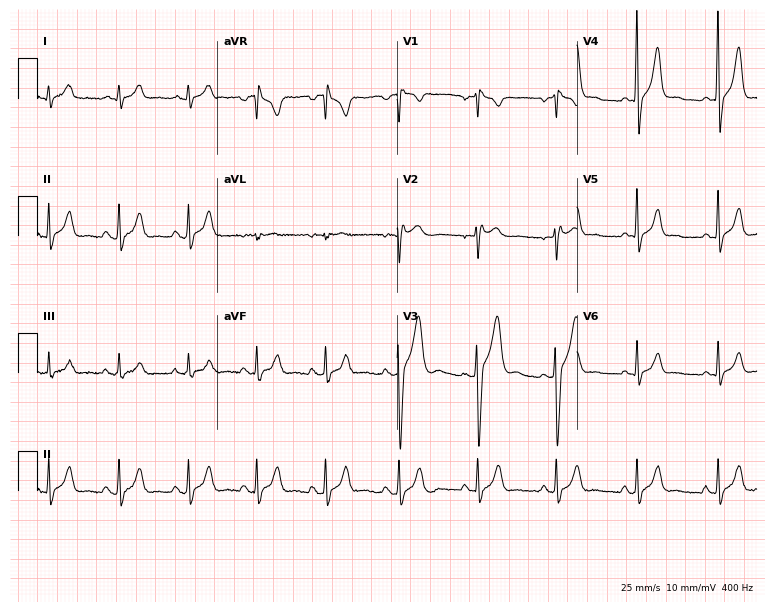
Resting 12-lead electrocardiogram. Patient: a male, 34 years old. None of these six findings is recorded: first-degree AV block, right bundle branch block (RBBB), left bundle branch block (LBBB), sinus bradycardia, atrial fibrillation (AF), sinus tachycardia. Other findings, if any, are not listed.